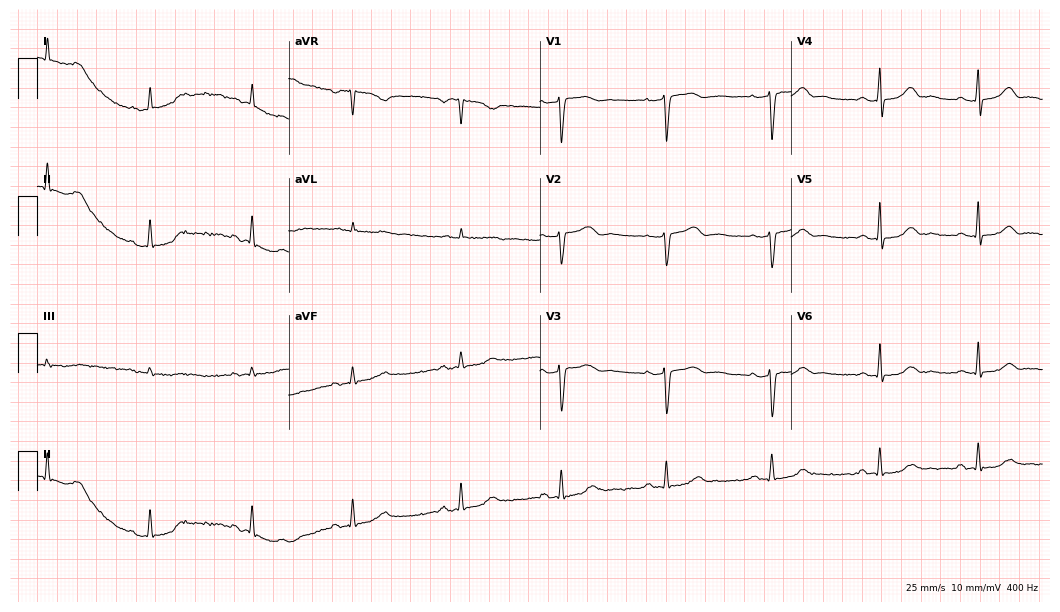
Standard 12-lead ECG recorded from a 48-year-old female patient (10.2-second recording at 400 Hz). Read as a normal ECG.